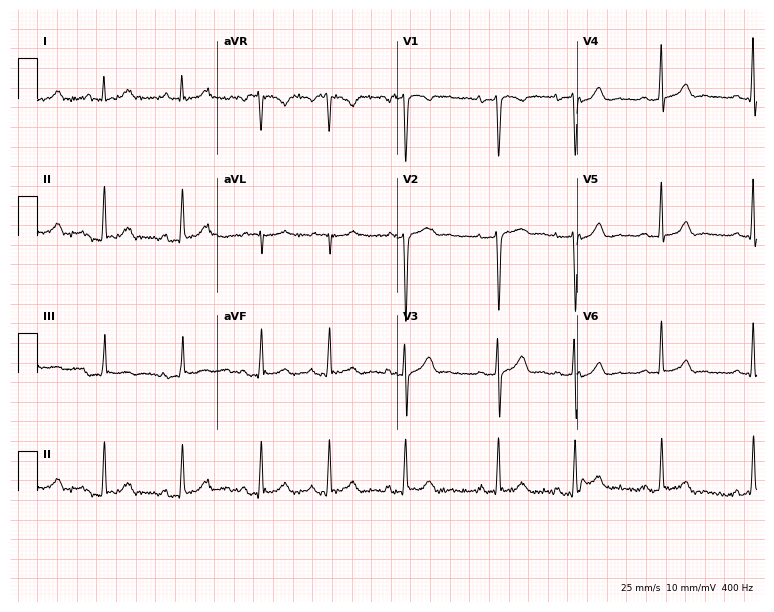
12-lead ECG (7.3-second recording at 400 Hz) from an 18-year-old woman. Screened for six findings — first-degree AV block, right bundle branch block, left bundle branch block, sinus bradycardia, atrial fibrillation, sinus tachycardia — none is recorded. Other findings, if any, are not listed.